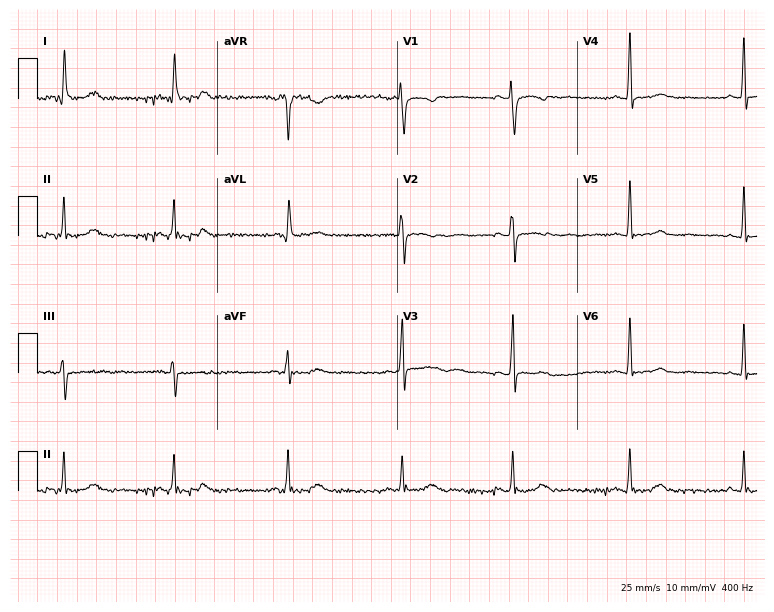
Electrocardiogram, a female patient, 60 years old. Of the six screened findings (first-degree AV block, right bundle branch block, left bundle branch block, sinus bradycardia, atrial fibrillation, sinus tachycardia), none is recorded. Only these six findings were labelled.